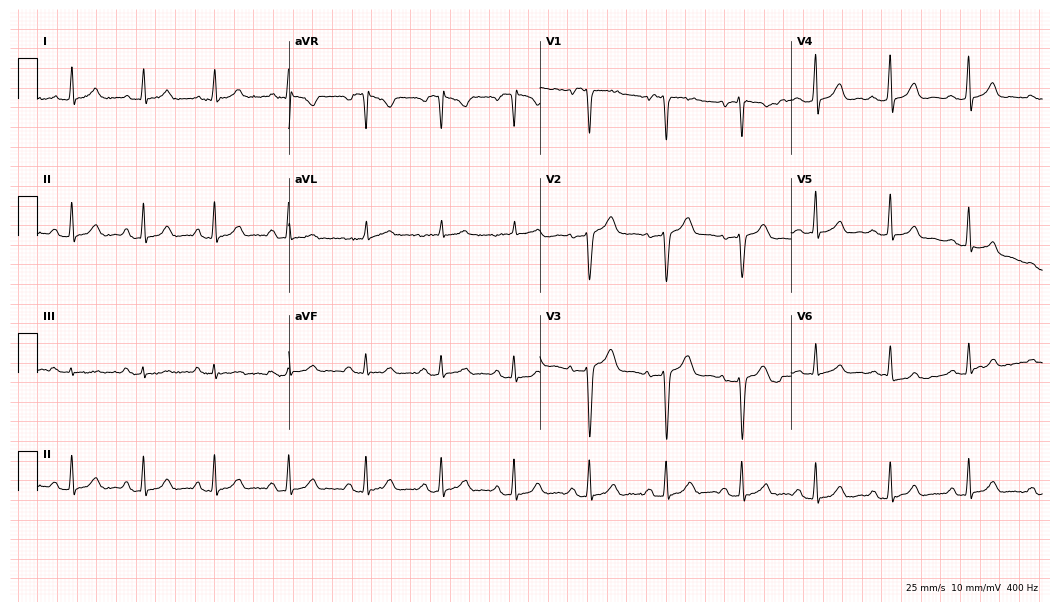
Electrocardiogram, a 33-year-old woman. Overall reading on record: normal ECG.